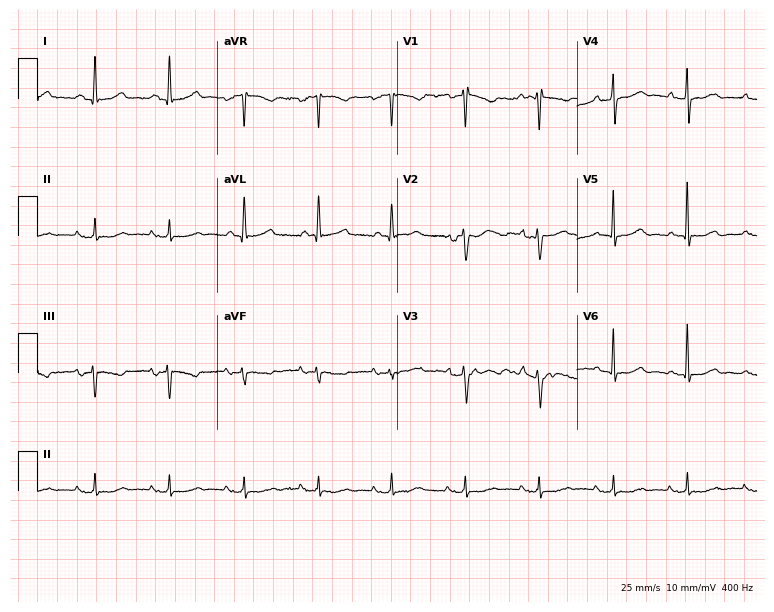
Standard 12-lead ECG recorded from a male patient, 67 years old. Read as a normal ECG.